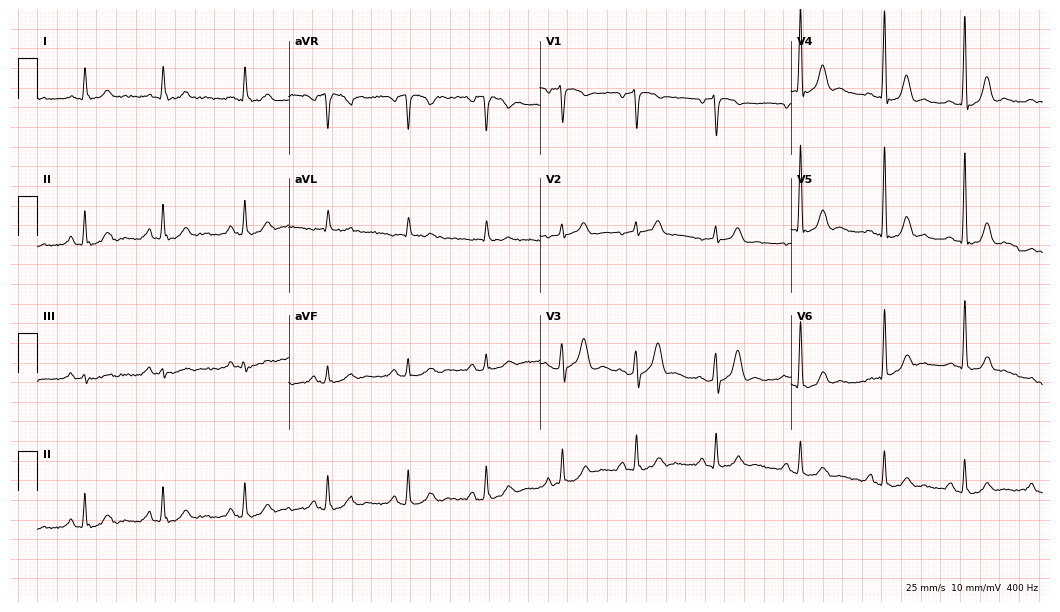
Resting 12-lead electrocardiogram (10.2-second recording at 400 Hz). Patient: a 50-year-old male. None of these six findings is recorded: first-degree AV block, right bundle branch block (RBBB), left bundle branch block (LBBB), sinus bradycardia, atrial fibrillation (AF), sinus tachycardia.